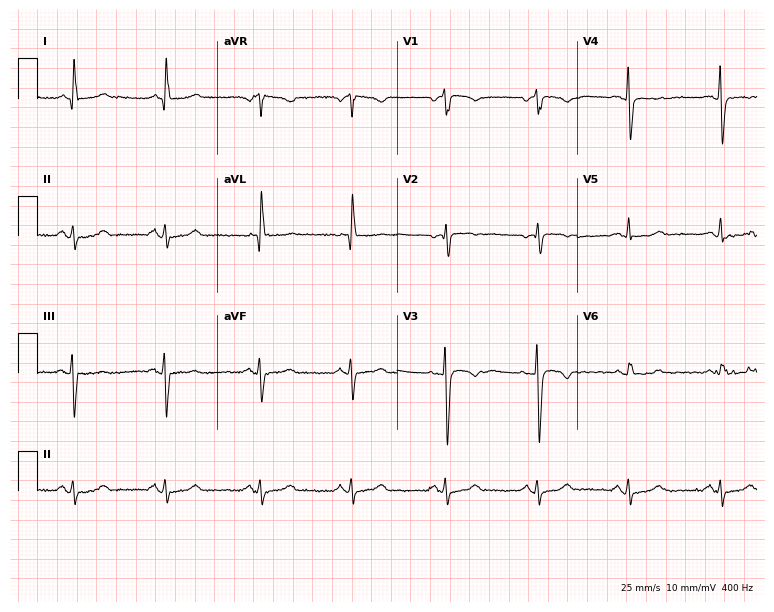
12-lead ECG from an 82-year-old woman. No first-degree AV block, right bundle branch block (RBBB), left bundle branch block (LBBB), sinus bradycardia, atrial fibrillation (AF) or sinus tachycardia recorded for this tracing. Findings outside these six are not listed.